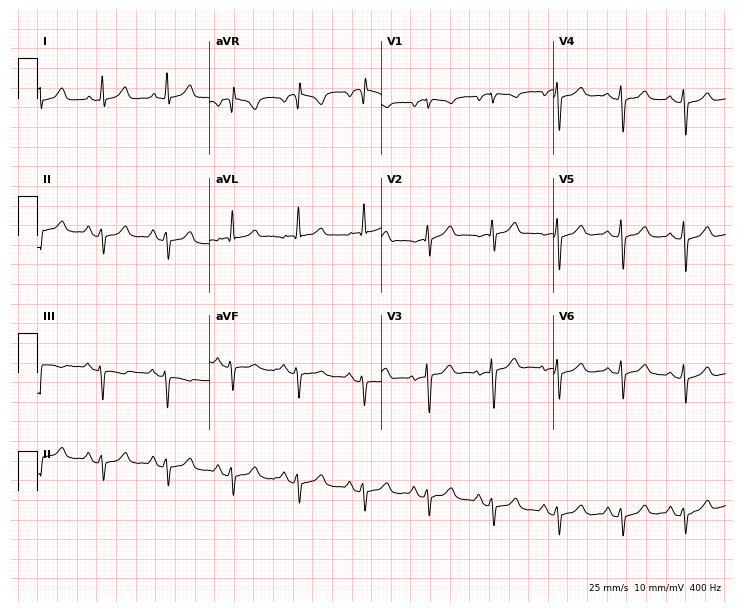
Electrocardiogram (7-second recording at 400 Hz), a 62-year-old female patient. Of the six screened findings (first-degree AV block, right bundle branch block (RBBB), left bundle branch block (LBBB), sinus bradycardia, atrial fibrillation (AF), sinus tachycardia), none is recorded. Findings outside these six are not listed.